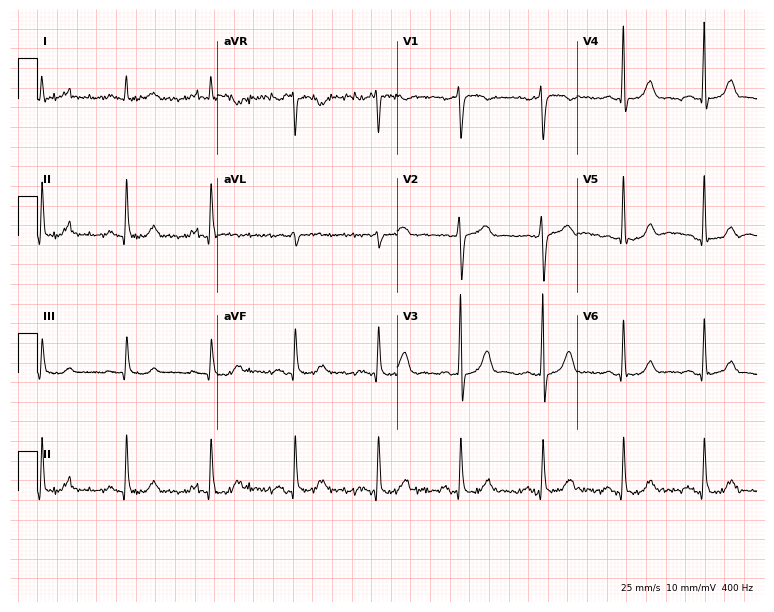
12-lead ECG (7.3-second recording at 400 Hz) from a man, 65 years old. Screened for six findings — first-degree AV block, right bundle branch block, left bundle branch block, sinus bradycardia, atrial fibrillation, sinus tachycardia — none is recorded.